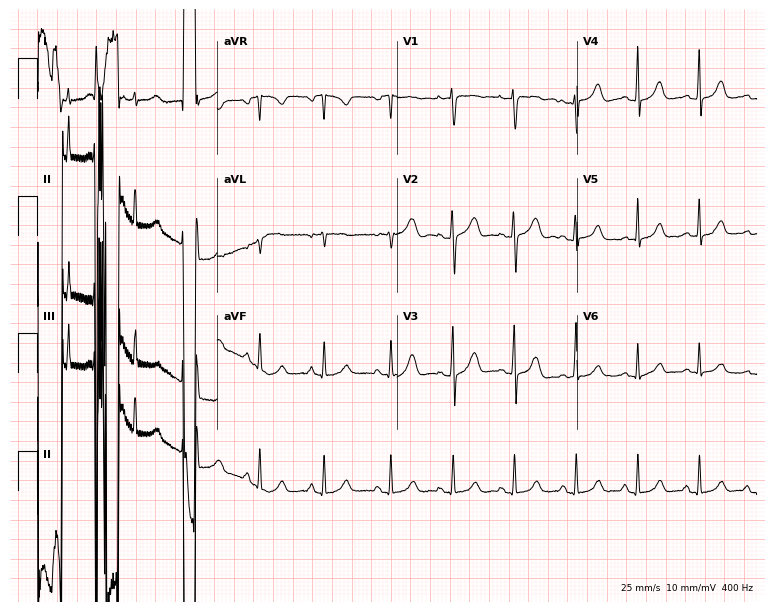
Standard 12-lead ECG recorded from a 29-year-old female patient. None of these six findings is recorded: first-degree AV block, right bundle branch block, left bundle branch block, sinus bradycardia, atrial fibrillation, sinus tachycardia. Other findings, if any, are not listed.